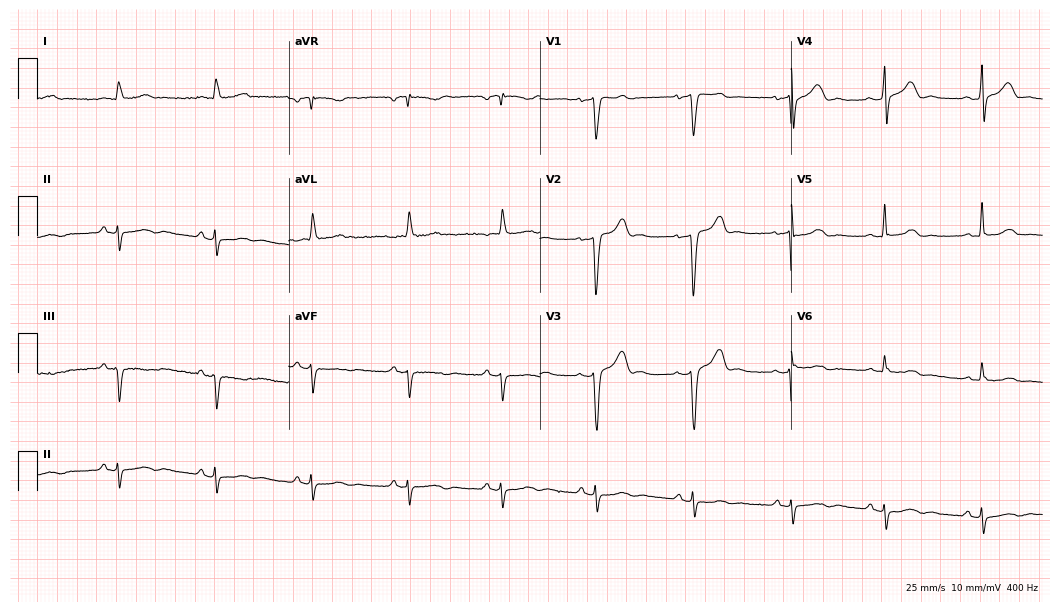
12-lead ECG from a 46-year-old man (10.2-second recording at 400 Hz). No first-degree AV block, right bundle branch block (RBBB), left bundle branch block (LBBB), sinus bradycardia, atrial fibrillation (AF) or sinus tachycardia recorded for this tracing. Findings outside these six are not listed.